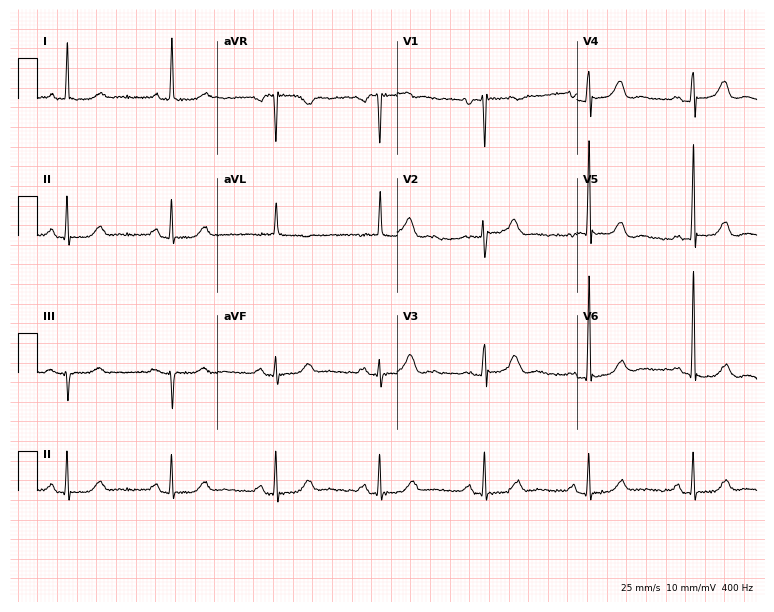
Electrocardiogram, a female patient, 74 years old. Of the six screened findings (first-degree AV block, right bundle branch block (RBBB), left bundle branch block (LBBB), sinus bradycardia, atrial fibrillation (AF), sinus tachycardia), none is recorded.